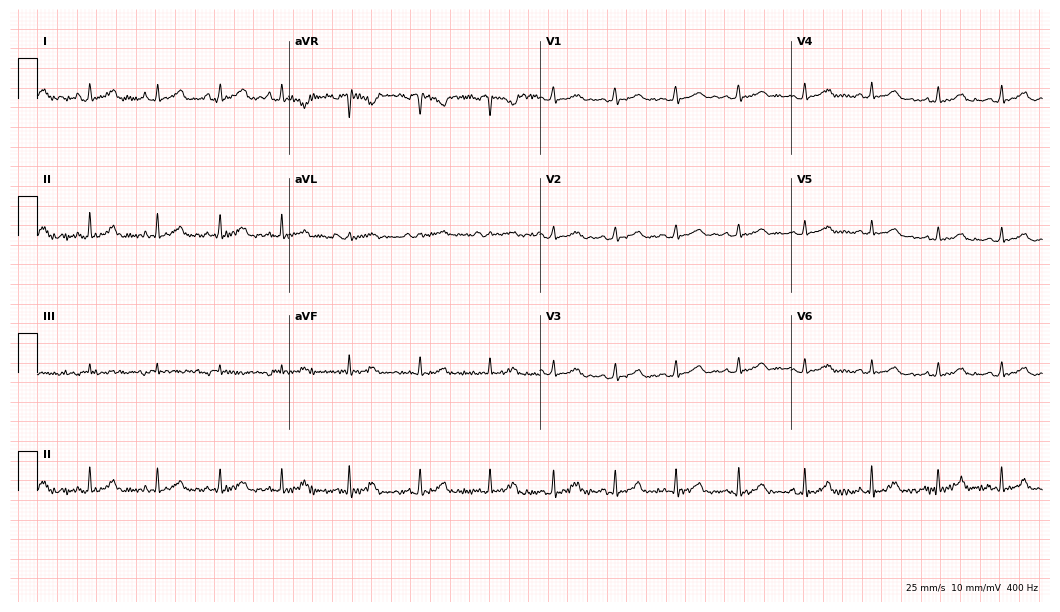
Standard 12-lead ECG recorded from a 31-year-old female (10.2-second recording at 400 Hz). Read as a normal ECG.